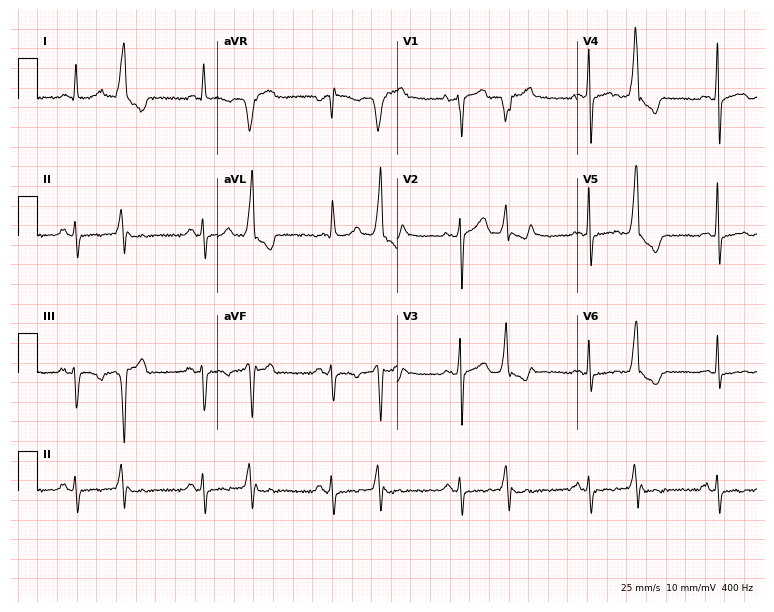
Electrocardiogram, a 53-year-old male patient. Of the six screened findings (first-degree AV block, right bundle branch block (RBBB), left bundle branch block (LBBB), sinus bradycardia, atrial fibrillation (AF), sinus tachycardia), none is recorded. Other findings, if any, are not listed.